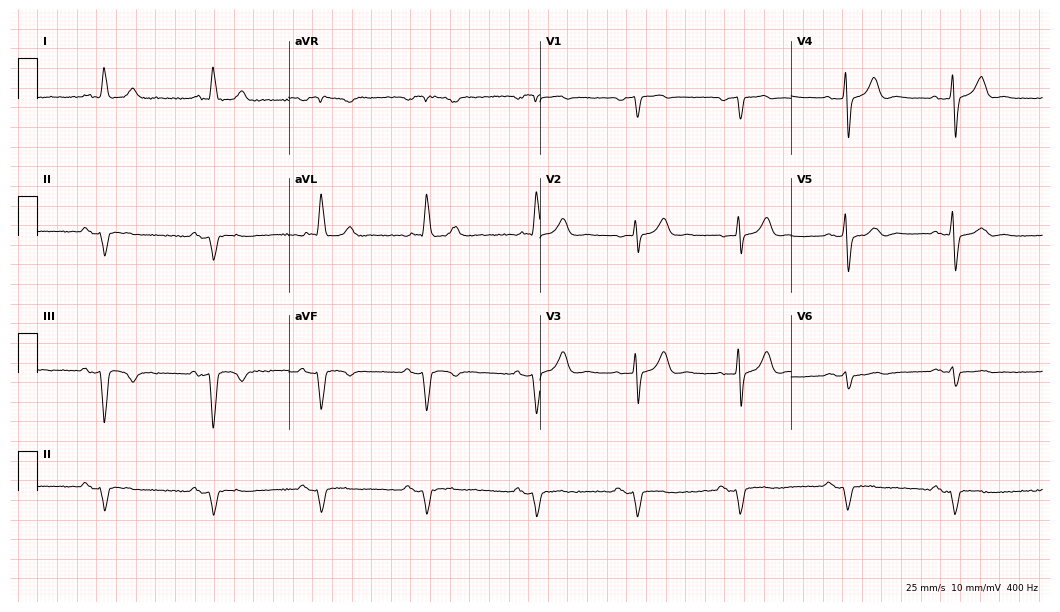
Electrocardiogram, a male, 82 years old. Of the six screened findings (first-degree AV block, right bundle branch block (RBBB), left bundle branch block (LBBB), sinus bradycardia, atrial fibrillation (AF), sinus tachycardia), none is recorded.